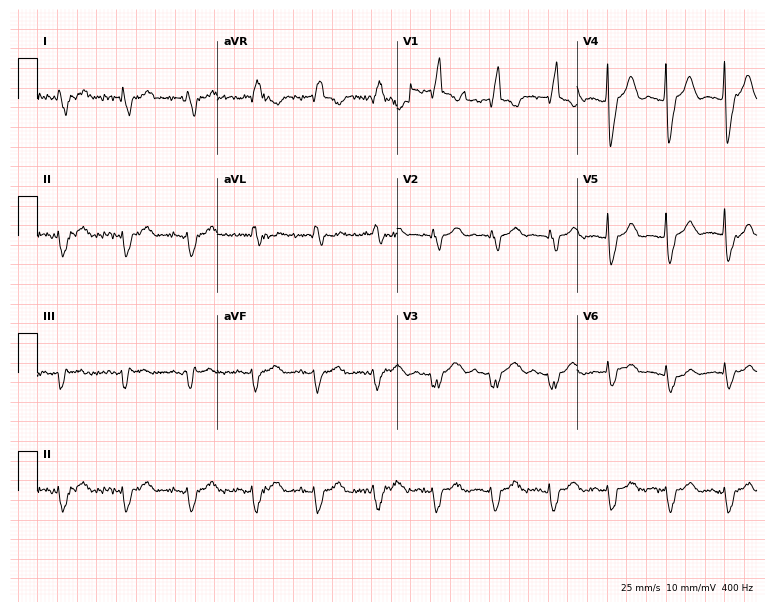
Standard 12-lead ECG recorded from an 82-year-old male. The tracing shows right bundle branch block.